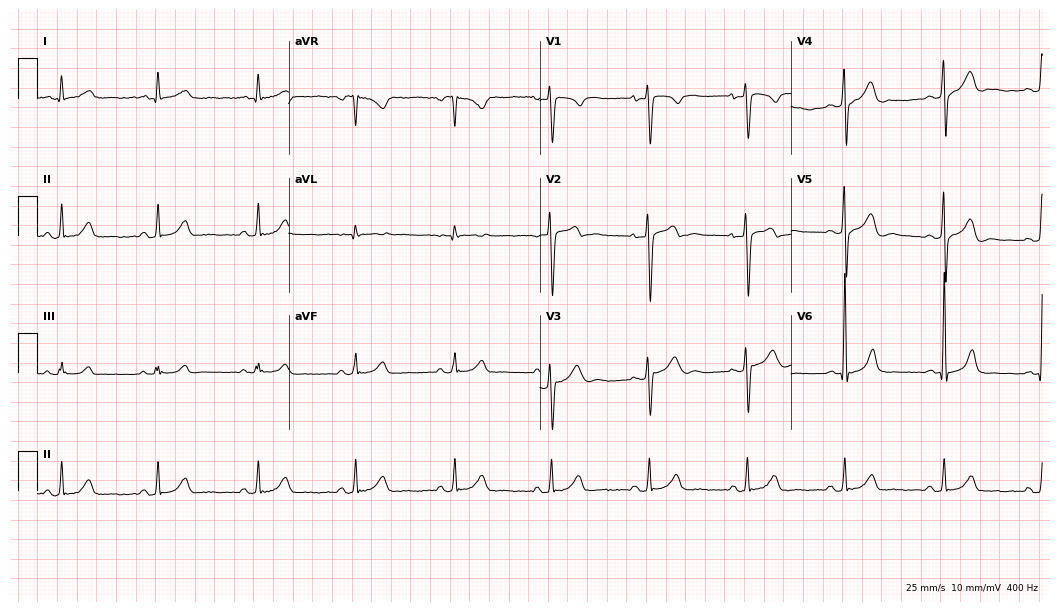
Standard 12-lead ECG recorded from a 17-year-old man. Read as a normal ECG.